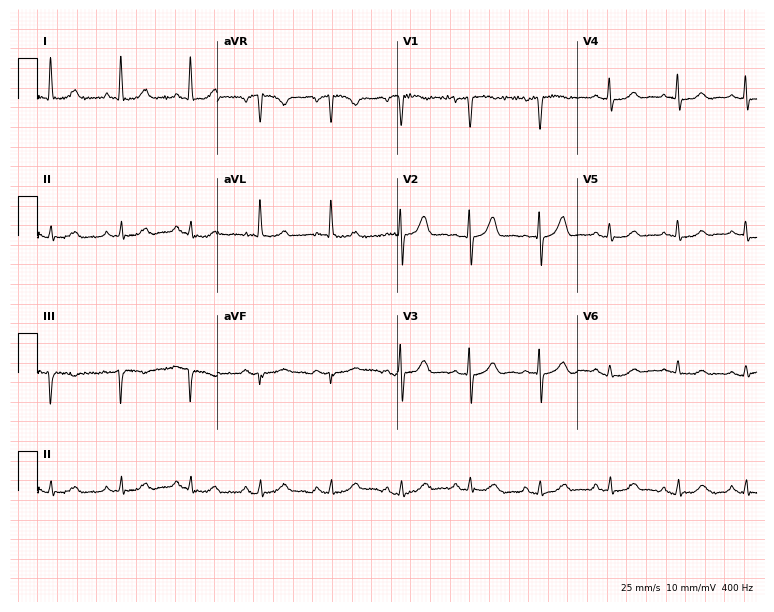
Resting 12-lead electrocardiogram. Patient: a male, 69 years old. Read as a normal ECG.